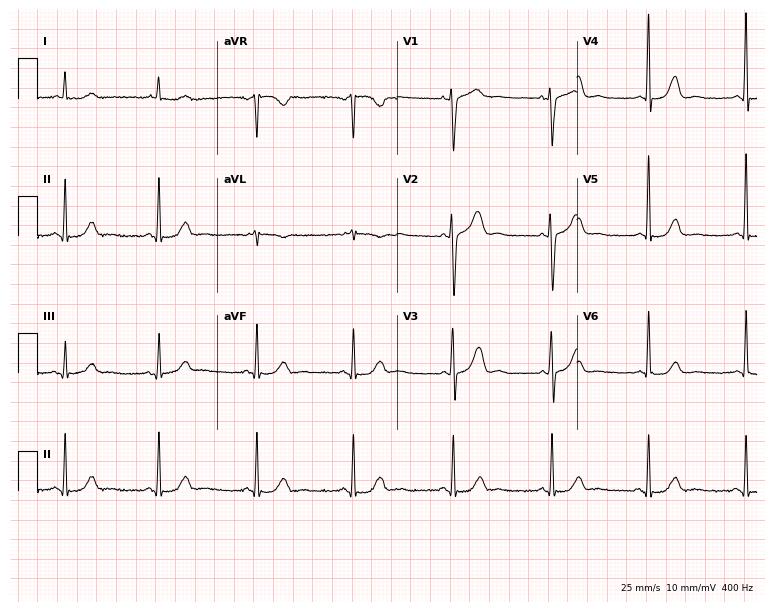
12-lead ECG from a 63-year-old female. Labelled as a normal ECG.